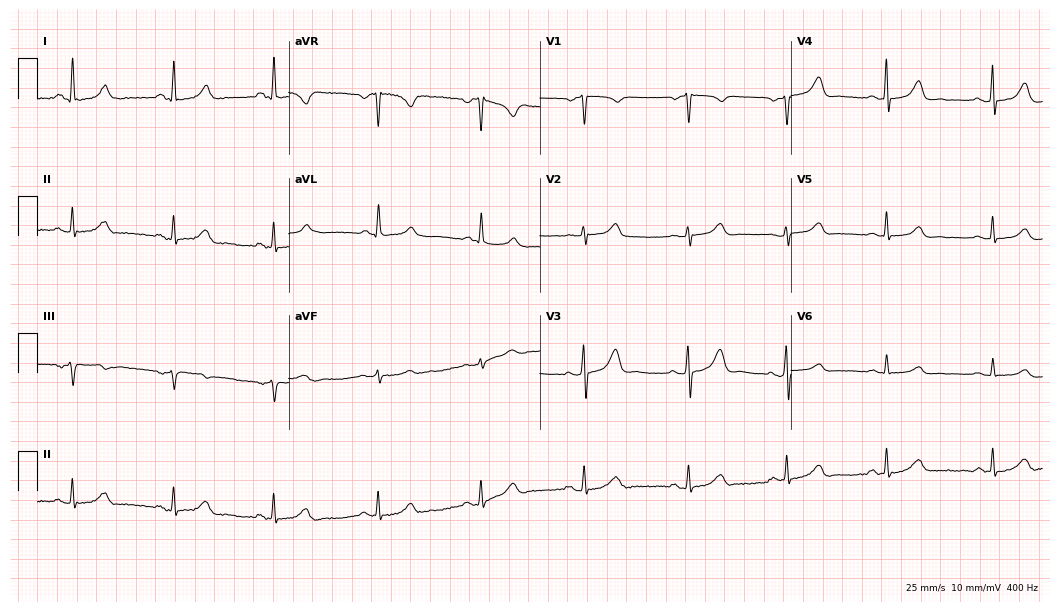
12-lead ECG from a female patient, 40 years old. No first-degree AV block, right bundle branch block (RBBB), left bundle branch block (LBBB), sinus bradycardia, atrial fibrillation (AF) or sinus tachycardia recorded for this tracing. Other findings, if any, are not listed.